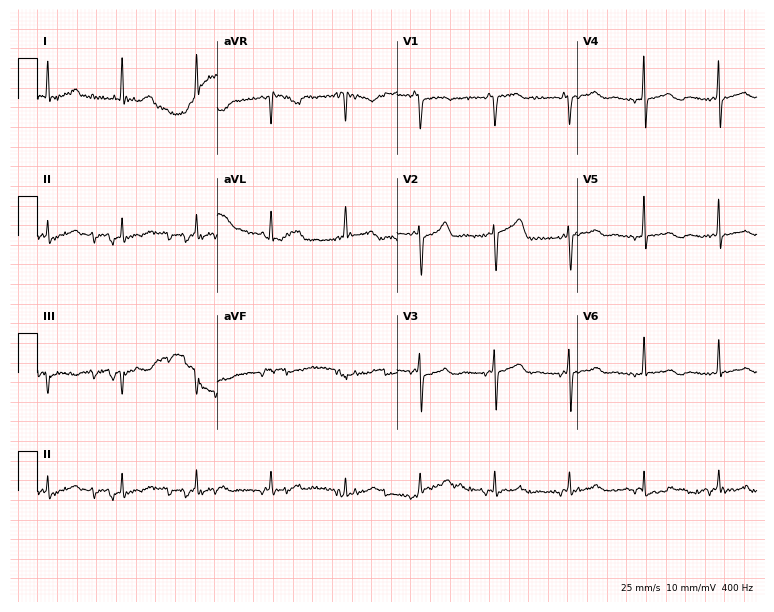
Resting 12-lead electrocardiogram. Patient: a 61-year-old female. None of these six findings is recorded: first-degree AV block, right bundle branch block, left bundle branch block, sinus bradycardia, atrial fibrillation, sinus tachycardia.